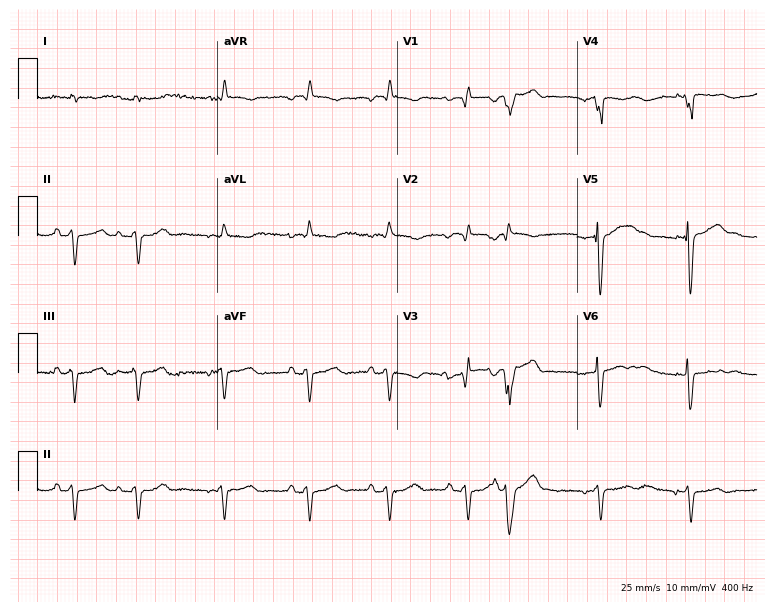
Electrocardiogram, a 67-year-old female patient. Of the six screened findings (first-degree AV block, right bundle branch block (RBBB), left bundle branch block (LBBB), sinus bradycardia, atrial fibrillation (AF), sinus tachycardia), none is recorded. Only these six findings were labelled.